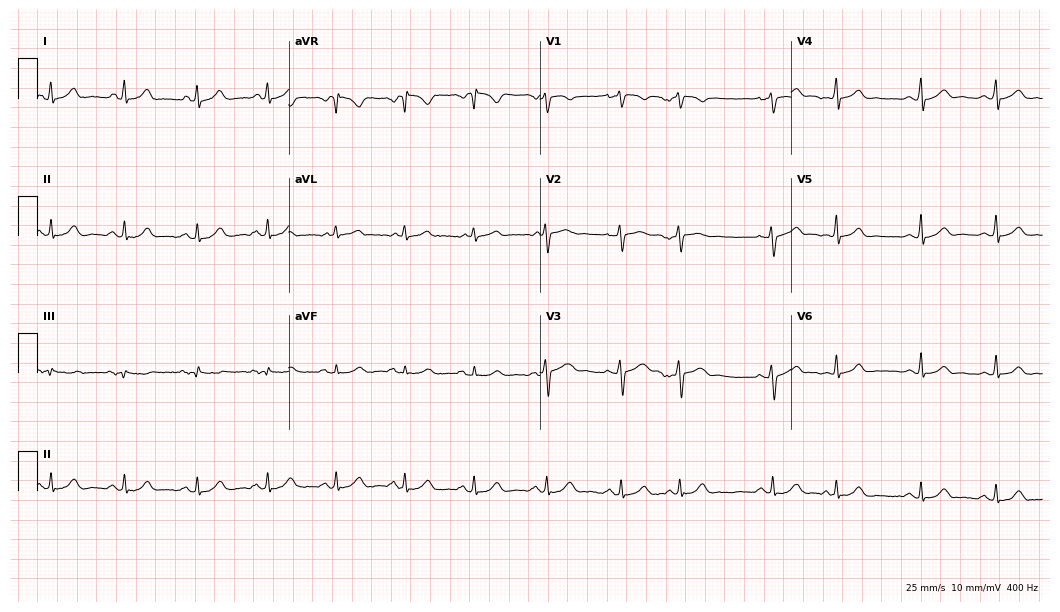
Resting 12-lead electrocardiogram (10.2-second recording at 400 Hz). Patient: a female, 25 years old. None of these six findings is recorded: first-degree AV block, right bundle branch block, left bundle branch block, sinus bradycardia, atrial fibrillation, sinus tachycardia.